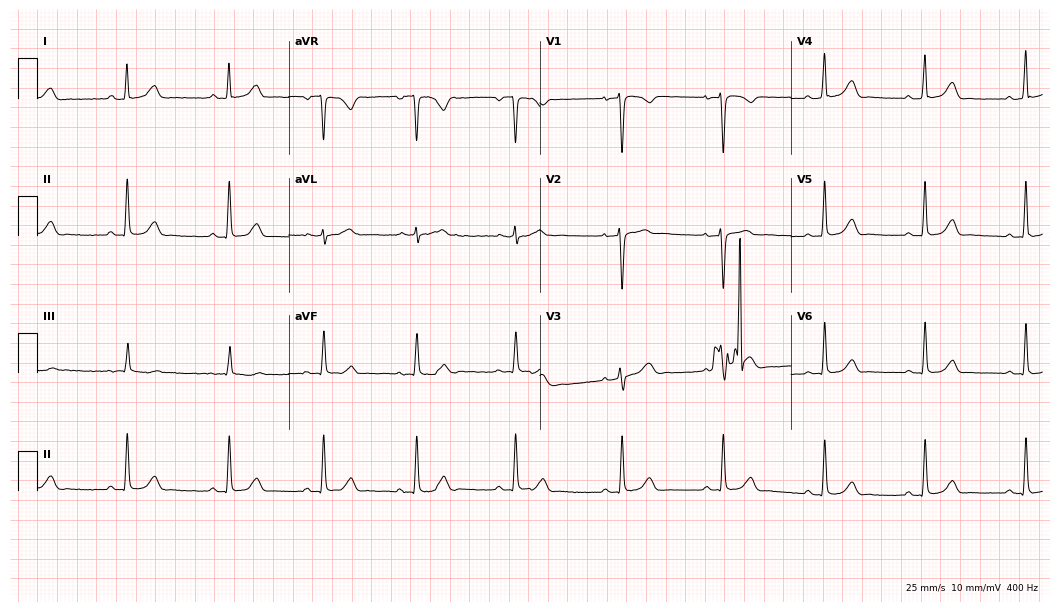
12-lead ECG from a 27-year-old woman (10.2-second recording at 400 Hz). No first-degree AV block, right bundle branch block (RBBB), left bundle branch block (LBBB), sinus bradycardia, atrial fibrillation (AF) or sinus tachycardia recorded for this tracing.